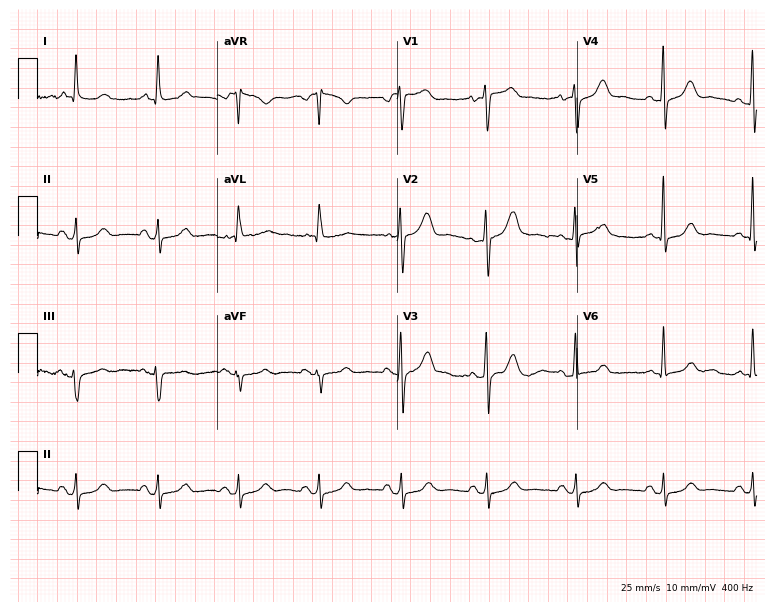
Standard 12-lead ECG recorded from a woman, 51 years old. None of these six findings is recorded: first-degree AV block, right bundle branch block, left bundle branch block, sinus bradycardia, atrial fibrillation, sinus tachycardia.